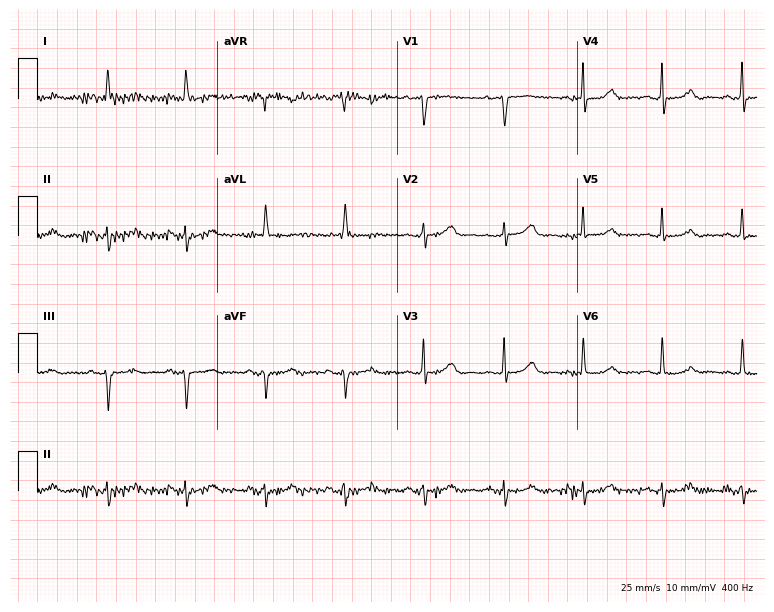
Standard 12-lead ECG recorded from an 85-year-old woman (7.3-second recording at 400 Hz). None of these six findings is recorded: first-degree AV block, right bundle branch block, left bundle branch block, sinus bradycardia, atrial fibrillation, sinus tachycardia.